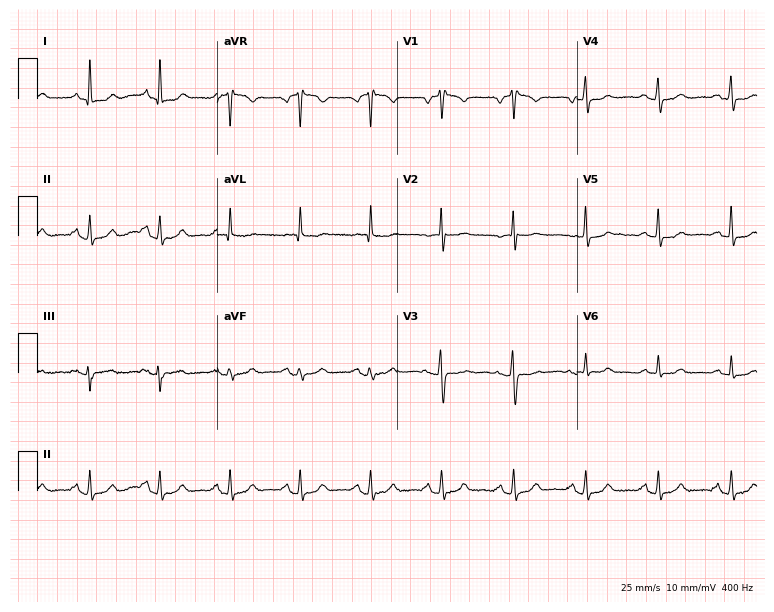
12-lead ECG from a 63-year-old woman. Recorded interpretation: within normal limits.